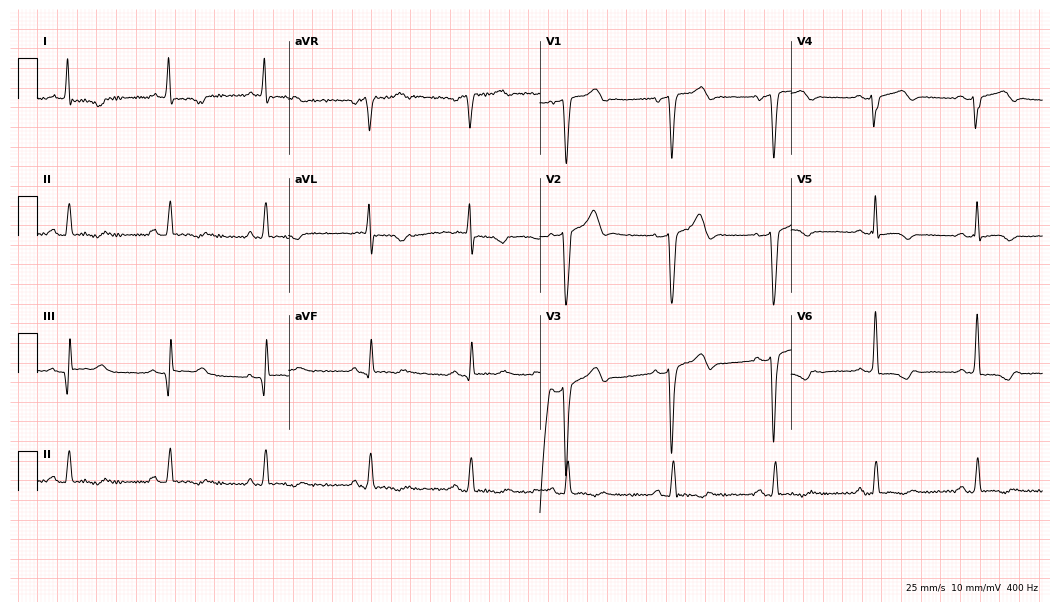
Resting 12-lead electrocardiogram (10.2-second recording at 400 Hz). Patient: an 81-year-old man. None of these six findings is recorded: first-degree AV block, right bundle branch block, left bundle branch block, sinus bradycardia, atrial fibrillation, sinus tachycardia. Only these six findings were labelled.